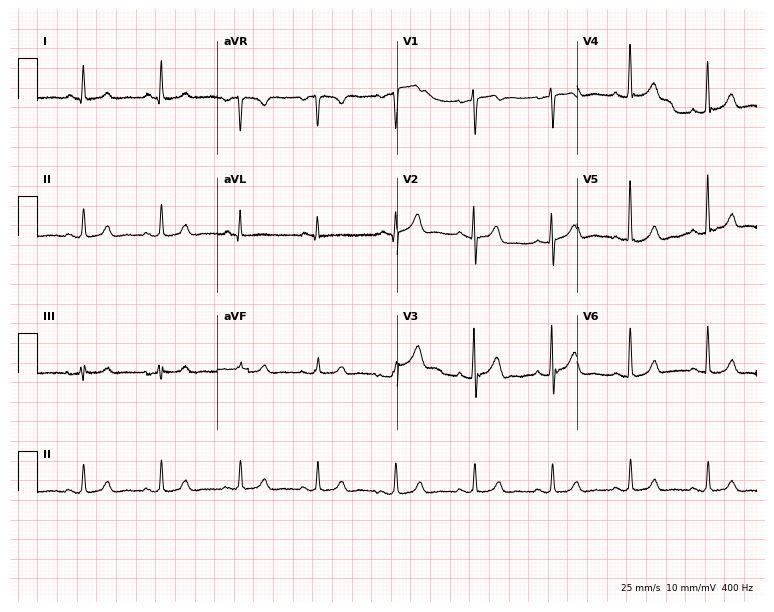
Electrocardiogram (7.3-second recording at 400 Hz), a male patient, 41 years old. Of the six screened findings (first-degree AV block, right bundle branch block, left bundle branch block, sinus bradycardia, atrial fibrillation, sinus tachycardia), none is recorded.